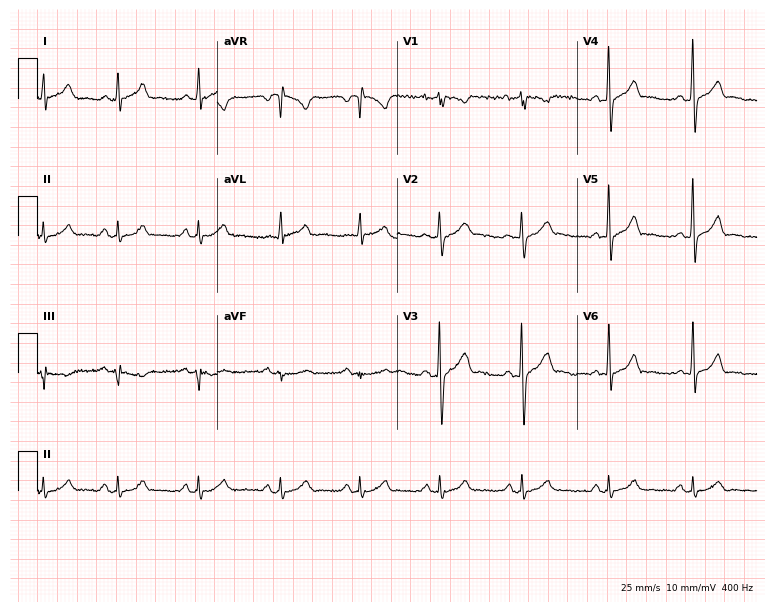
Standard 12-lead ECG recorded from a male, 43 years old (7.3-second recording at 400 Hz). None of these six findings is recorded: first-degree AV block, right bundle branch block (RBBB), left bundle branch block (LBBB), sinus bradycardia, atrial fibrillation (AF), sinus tachycardia. Only these six findings were labelled.